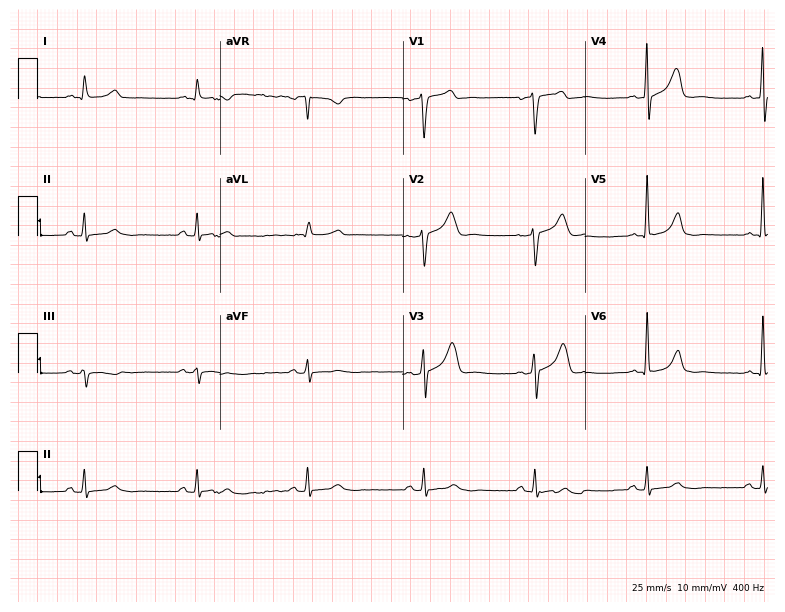
12-lead ECG from a 64-year-old male. No first-degree AV block, right bundle branch block (RBBB), left bundle branch block (LBBB), sinus bradycardia, atrial fibrillation (AF) or sinus tachycardia recorded for this tracing.